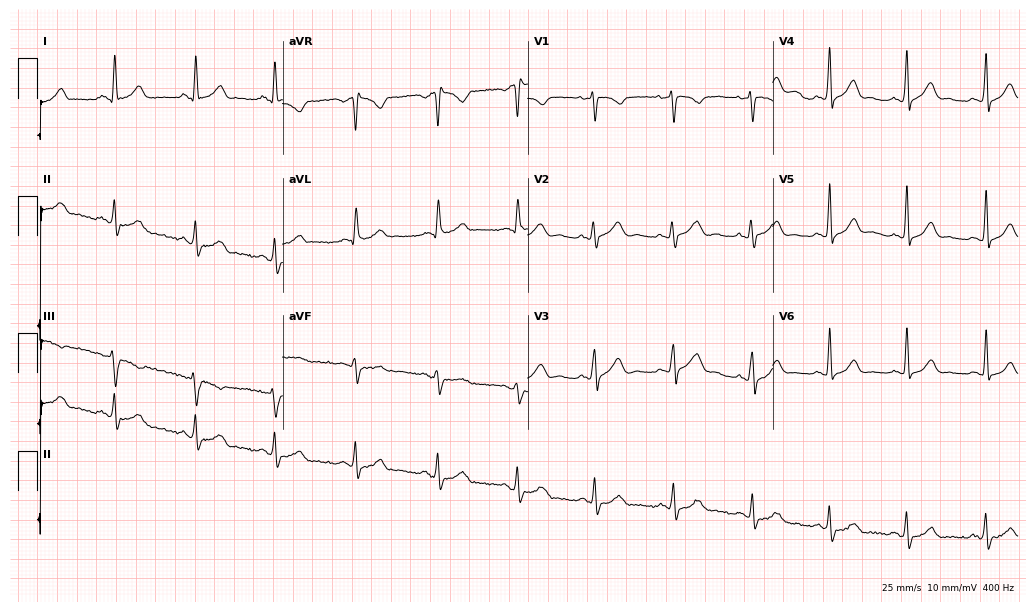
12-lead ECG from a man, 29 years old. Screened for six findings — first-degree AV block, right bundle branch block, left bundle branch block, sinus bradycardia, atrial fibrillation, sinus tachycardia — none is recorded.